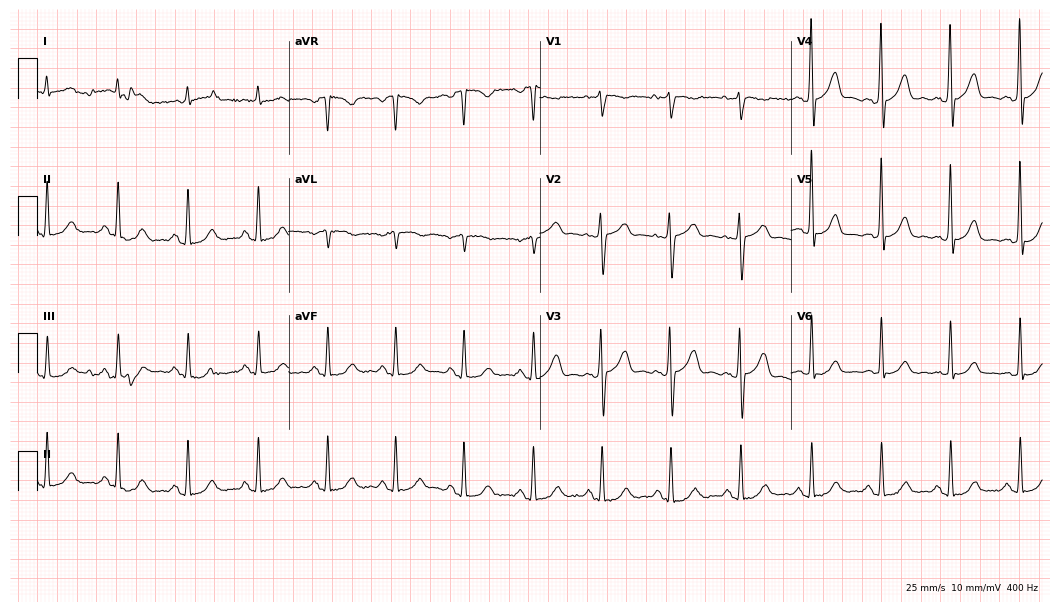
Standard 12-lead ECG recorded from a 77-year-old man (10.2-second recording at 400 Hz). Read as a normal ECG.